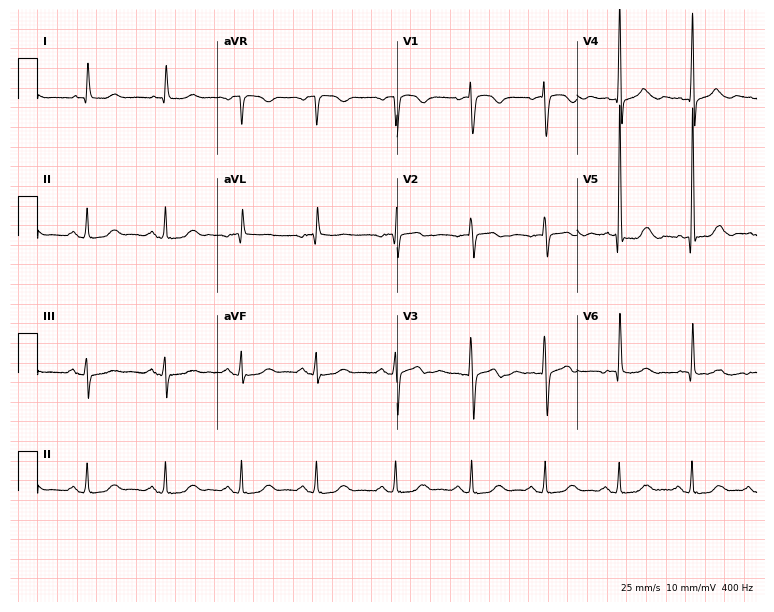
Standard 12-lead ECG recorded from a 71-year-old female patient. None of these six findings is recorded: first-degree AV block, right bundle branch block, left bundle branch block, sinus bradycardia, atrial fibrillation, sinus tachycardia. Other findings, if any, are not listed.